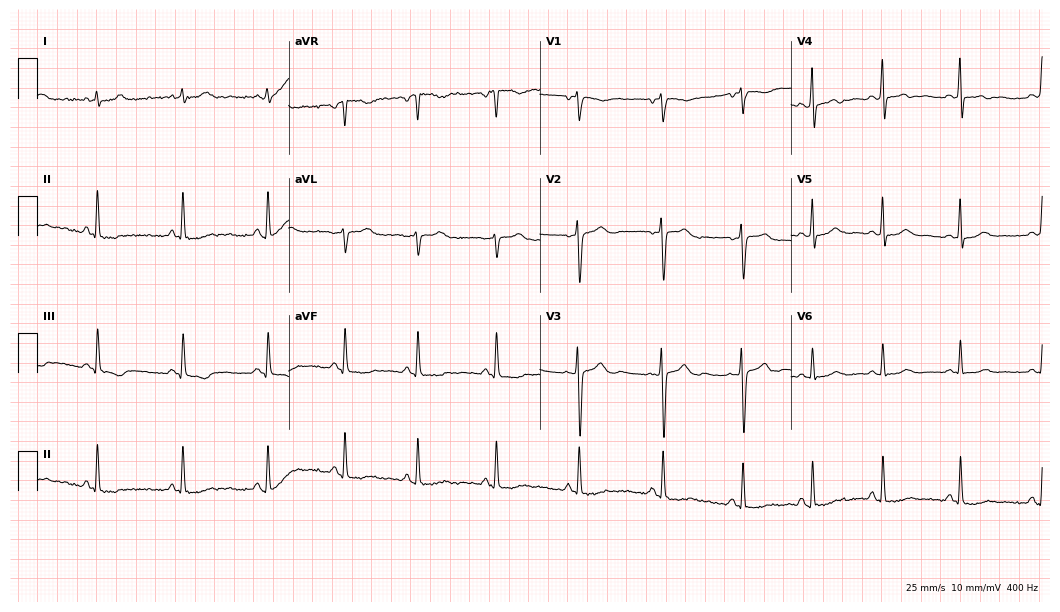
Electrocardiogram, a female, 27 years old. Of the six screened findings (first-degree AV block, right bundle branch block, left bundle branch block, sinus bradycardia, atrial fibrillation, sinus tachycardia), none is recorded.